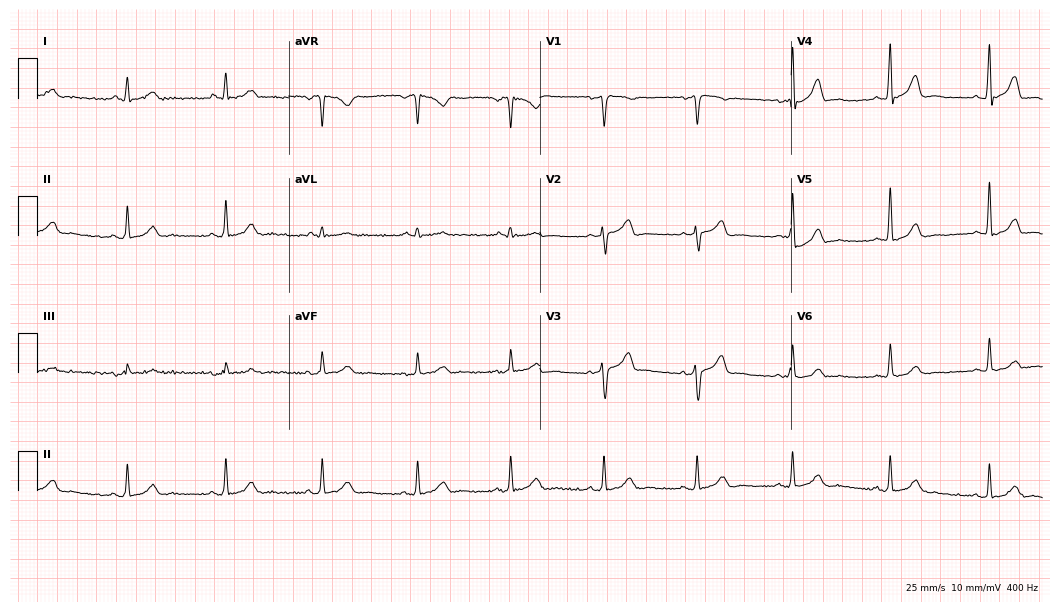
Electrocardiogram, a 65-year-old male. Overall reading on record: normal ECG.